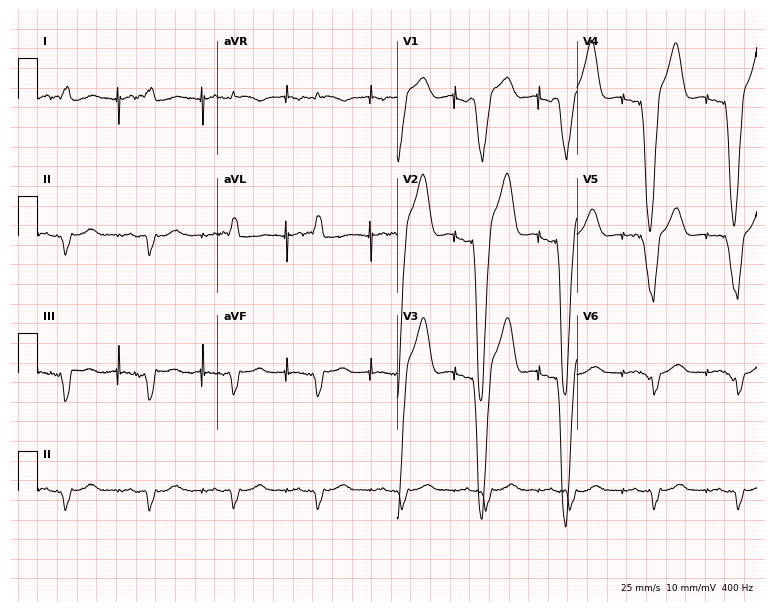
12-lead ECG (7.3-second recording at 400 Hz) from a male, 86 years old. Screened for six findings — first-degree AV block, right bundle branch block, left bundle branch block, sinus bradycardia, atrial fibrillation, sinus tachycardia — none is recorded. Other findings, if any, are not listed.